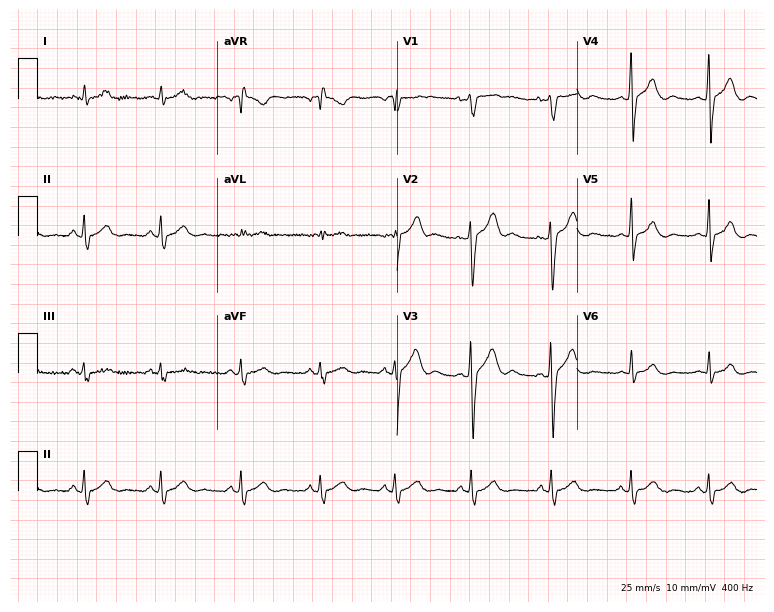
ECG (7.3-second recording at 400 Hz) — a 28-year-old man. Labelled as a normal ECG.